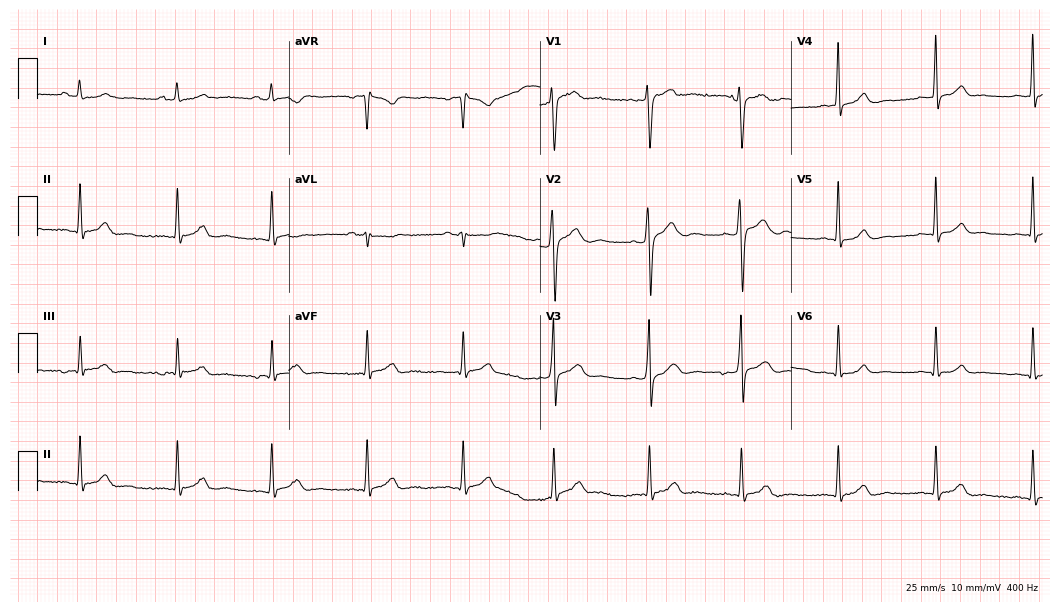
Standard 12-lead ECG recorded from a 25-year-old male (10.2-second recording at 400 Hz). Read as a normal ECG.